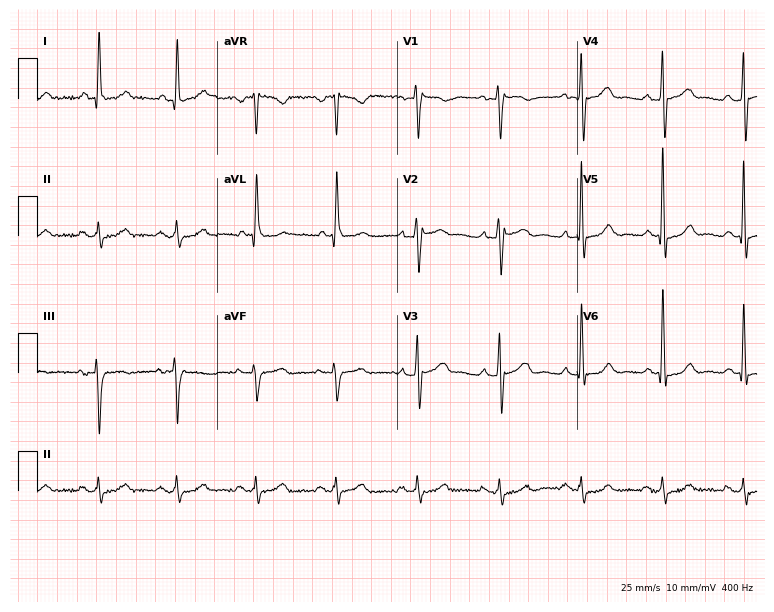
Electrocardiogram (7.3-second recording at 400 Hz), a 60-year-old man. Of the six screened findings (first-degree AV block, right bundle branch block, left bundle branch block, sinus bradycardia, atrial fibrillation, sinus tachycardia), none is recorded. Only these six findings were labelled.